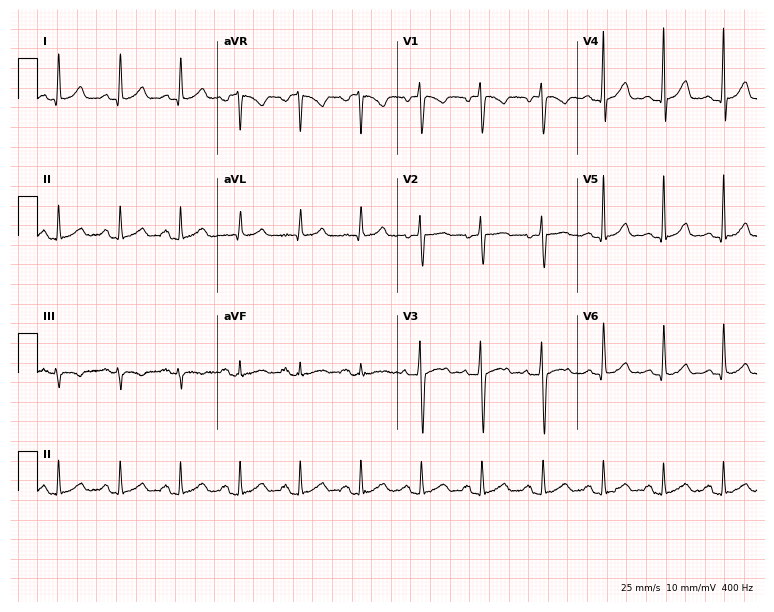
ECG (7.3-second recording at 400 Hz) — a 20-year-old female. Labelled as a normal ECG.